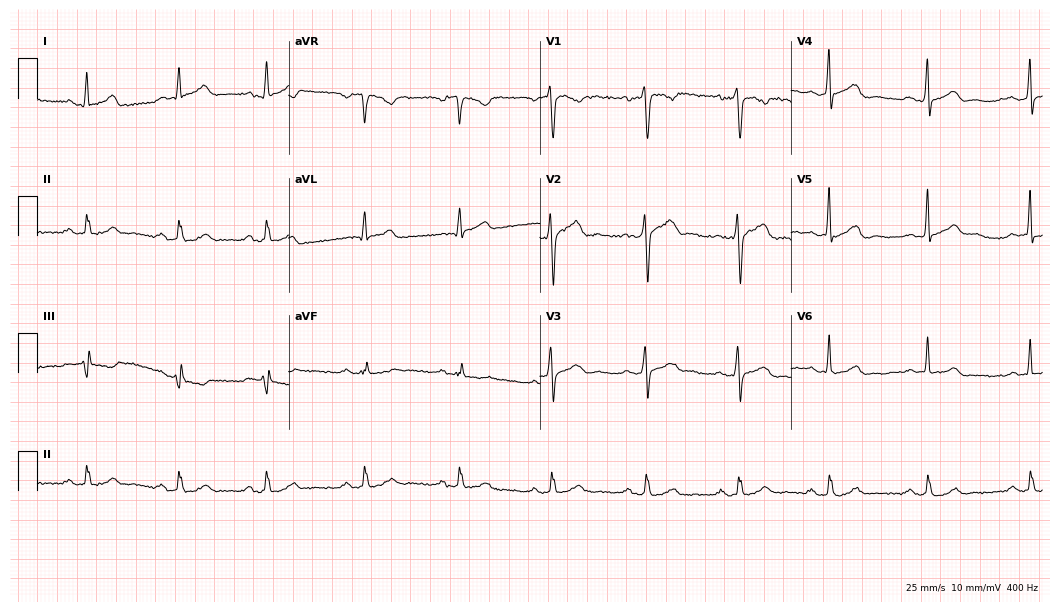
ECG — a male, 41 years old. Labelled as a normal ECG.